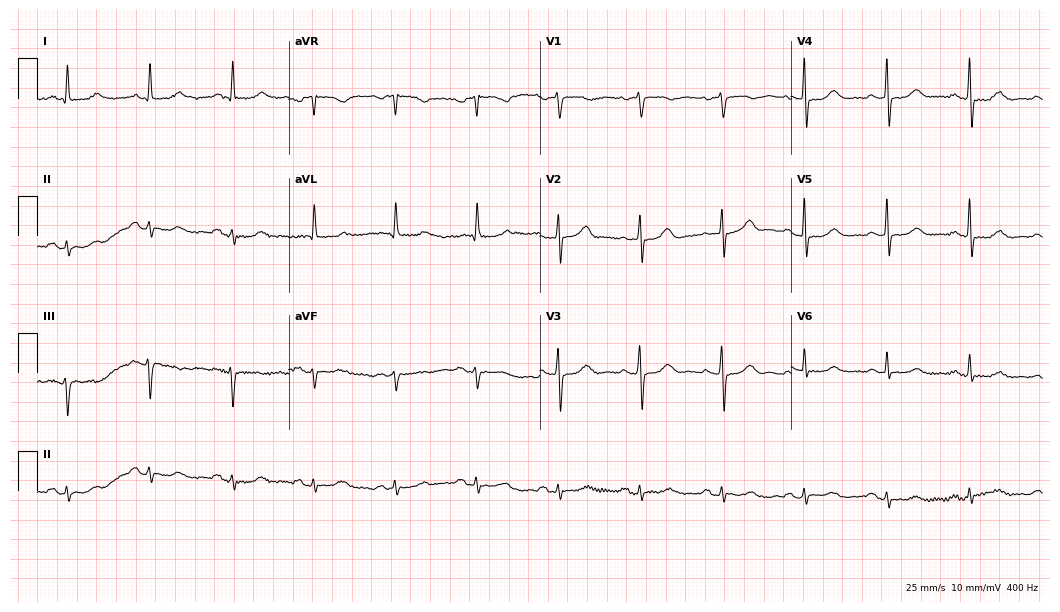
ECG — an 81-year-old female patient. Labelled as a normal ECG.